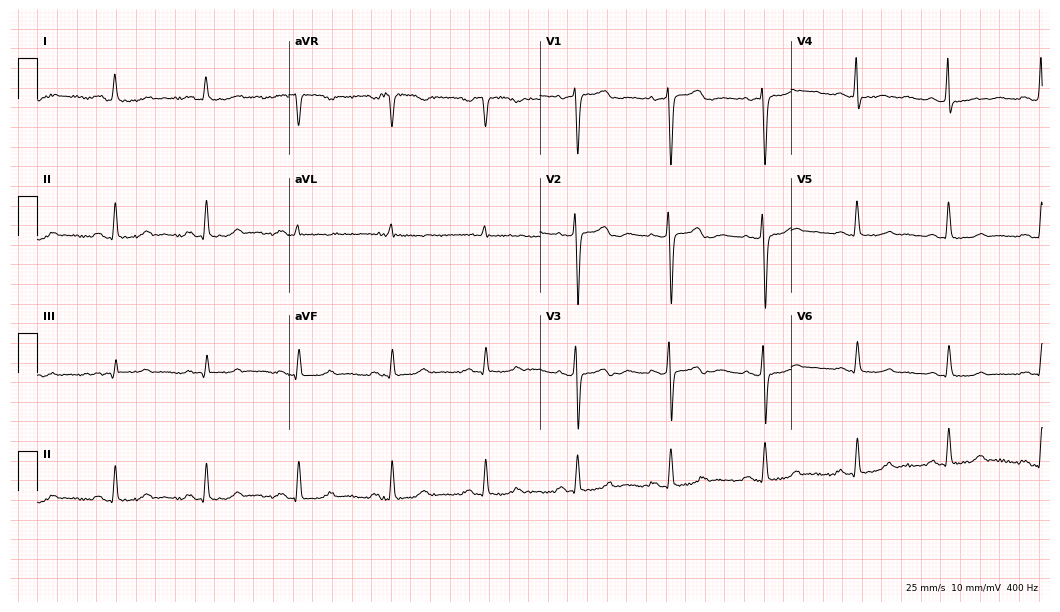
Standard 12-lead ECG recorded from a woman, 71 years old (10.2-second recording at 400 Hz). None of these six findings is recorded: first-degree AV block, right bundle branch block, left bundle branch block, sinus bradycardia, atrial fibrillation, sinus tachycardia.